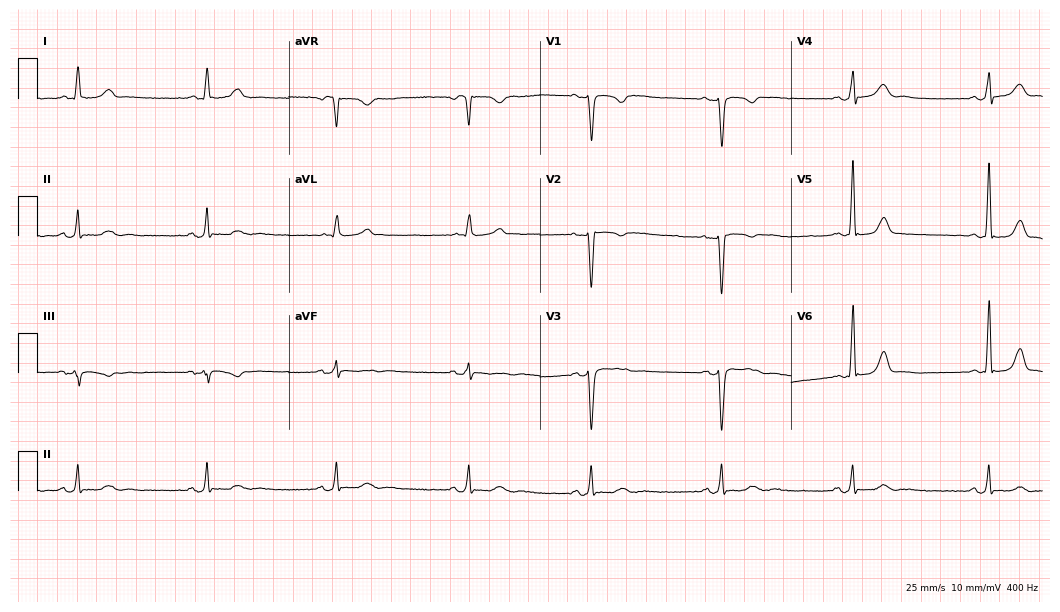
Standard 12-lead ECG recorded from a woman, 27 years old. Read as a normal ECG.